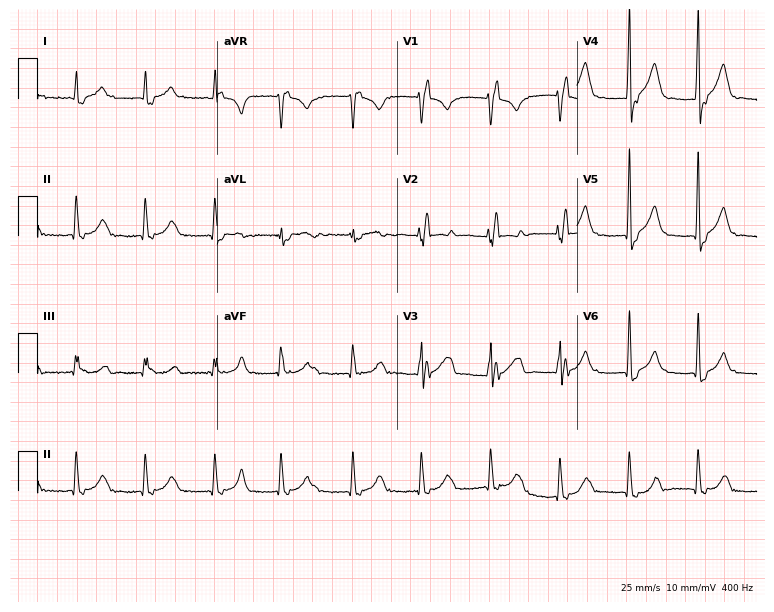
12-lead ECG from a male, 82 years old. Shows right bundle branch block.